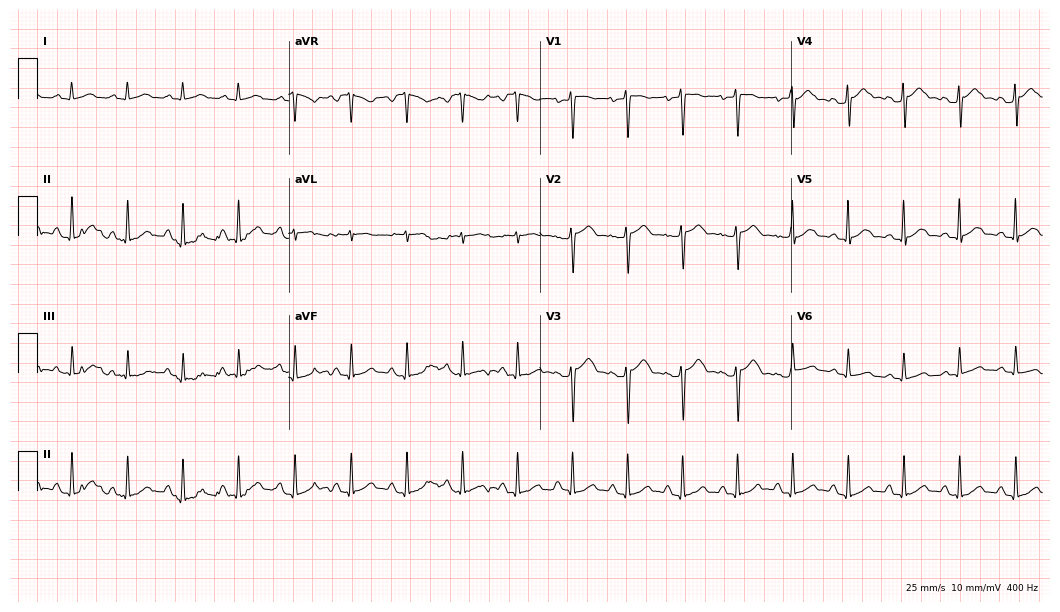
12-lead ECG (10.2-second recording at 400 Hz) from a female, 31 years old. Findings include sinus tachycardia (a sinus rate of 100 beats per minute or more).